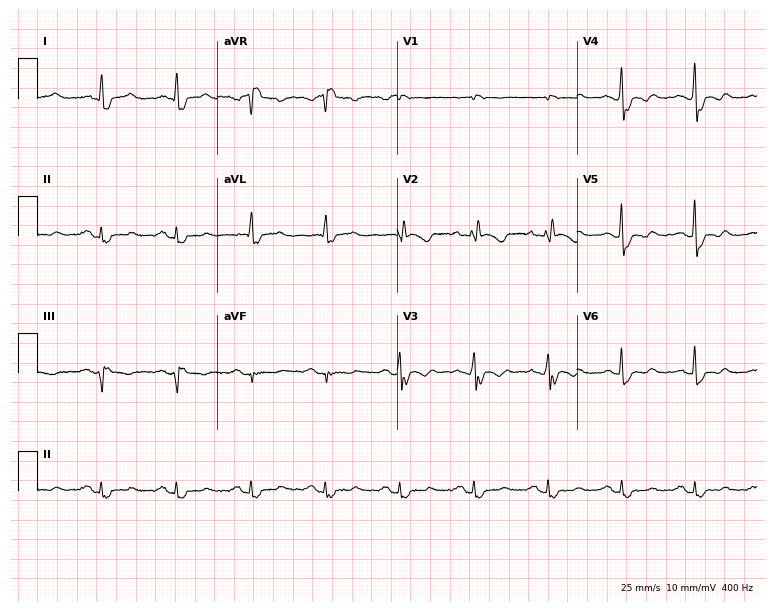
ECG — a 56-year-old female. Findings include right bundle branch block.